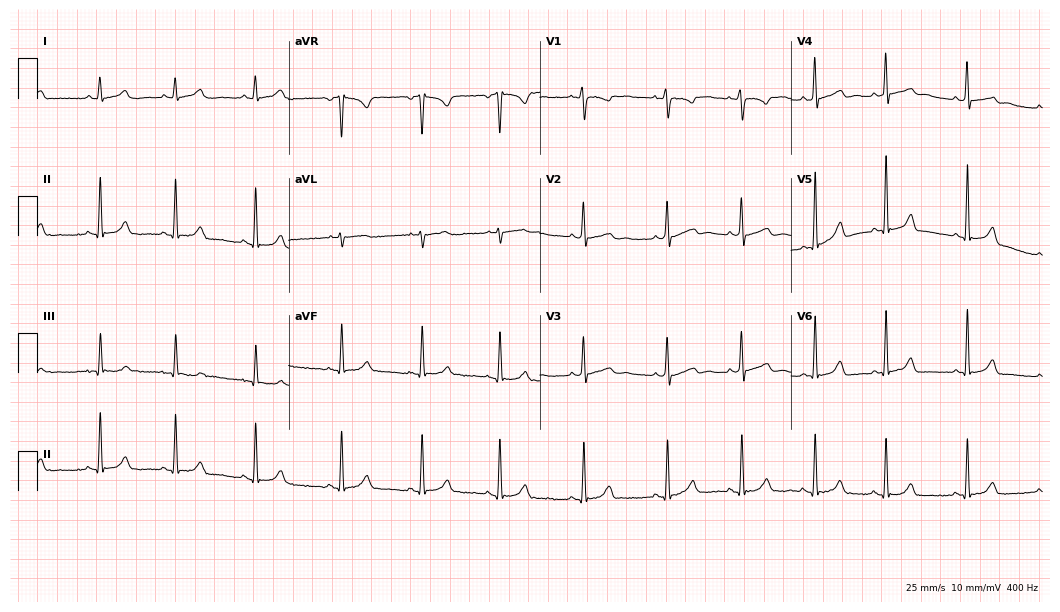
12-lead ECG from a 22-year-old female. Recorded interpretation: within normal limits.